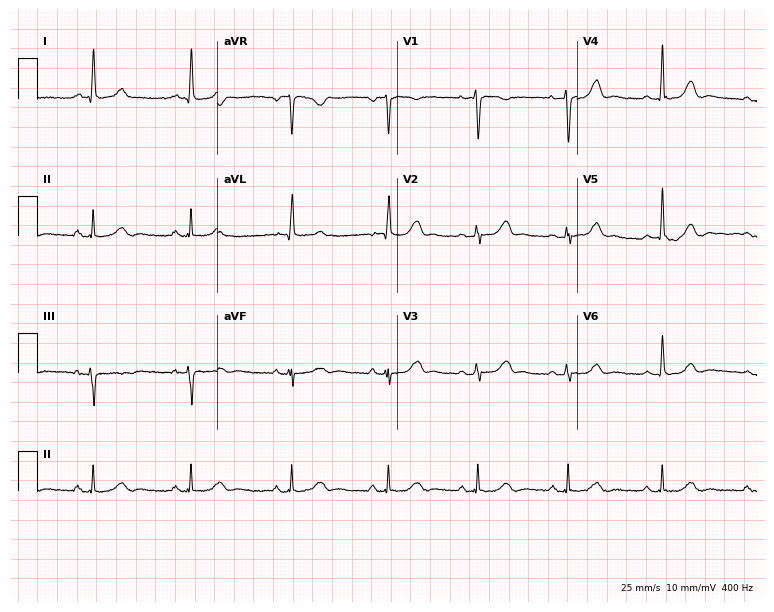
Standard 12-lead ECG recorded from a 36-year-old woman. Read as a normal ECG.